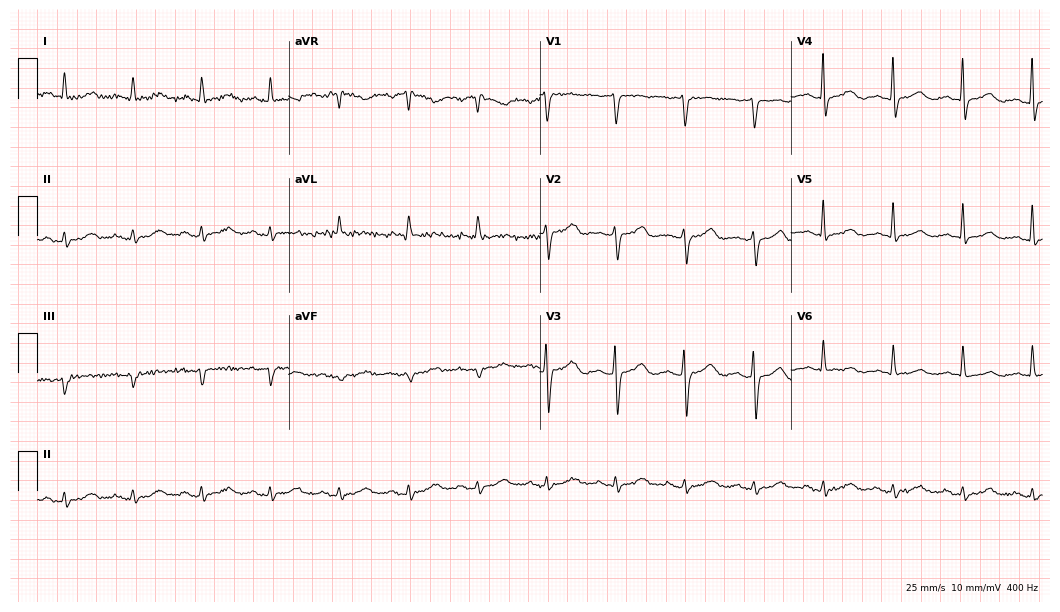
Resting 12-lead electrocardiogram. Patient: a 79-year-old woman. Read as a normal ECG.